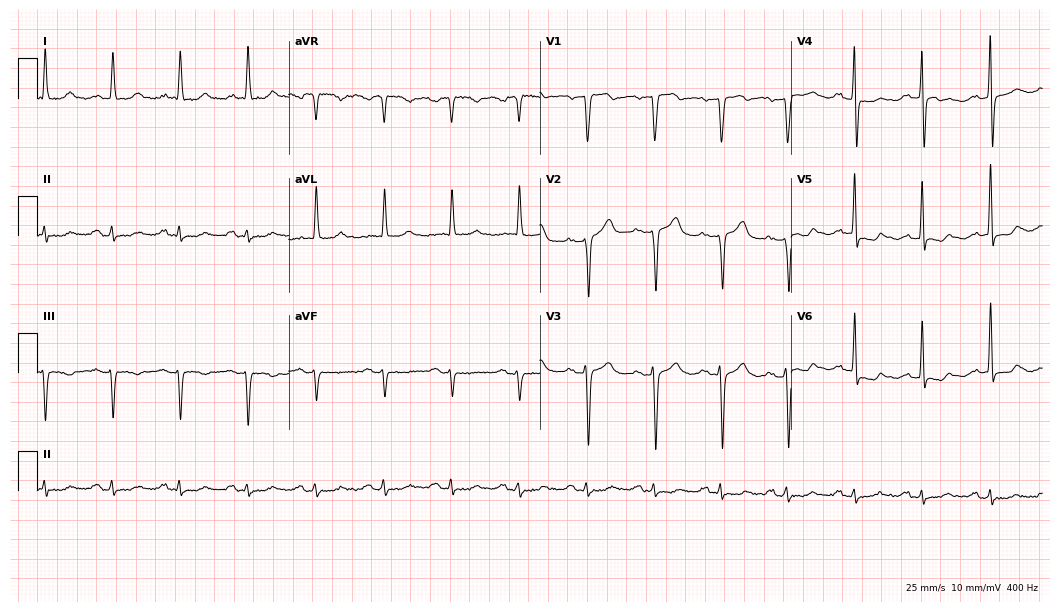
ECG — a 79-year-old man. Screened for six findings — first-degree AV block, right bundle branch block, left bundle branch block, sinus bradycardia, atrial fibrillation, sinus tachycardia — none is recorded.